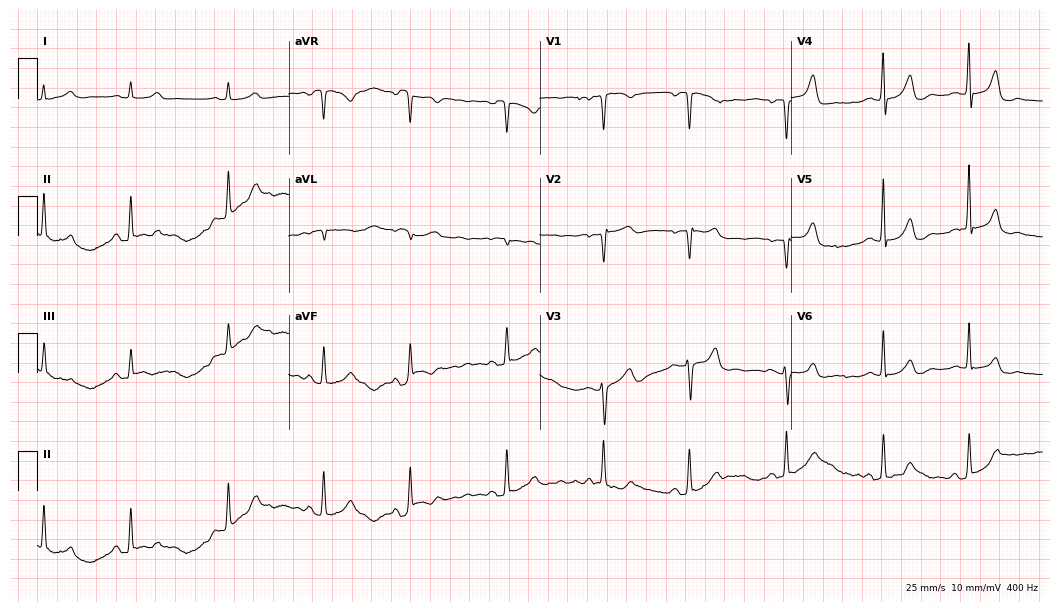
Standard 12-lead ECG recorded from a woman, 50 years old. None of these six findings is recorded: first-degree AV block, right bundle branch block (RBBB), left bundle branch block (LBBB), sinus bradycardia, atrial fibrillation (AF), sinus tachycardia. Findings outside these six are not listed.